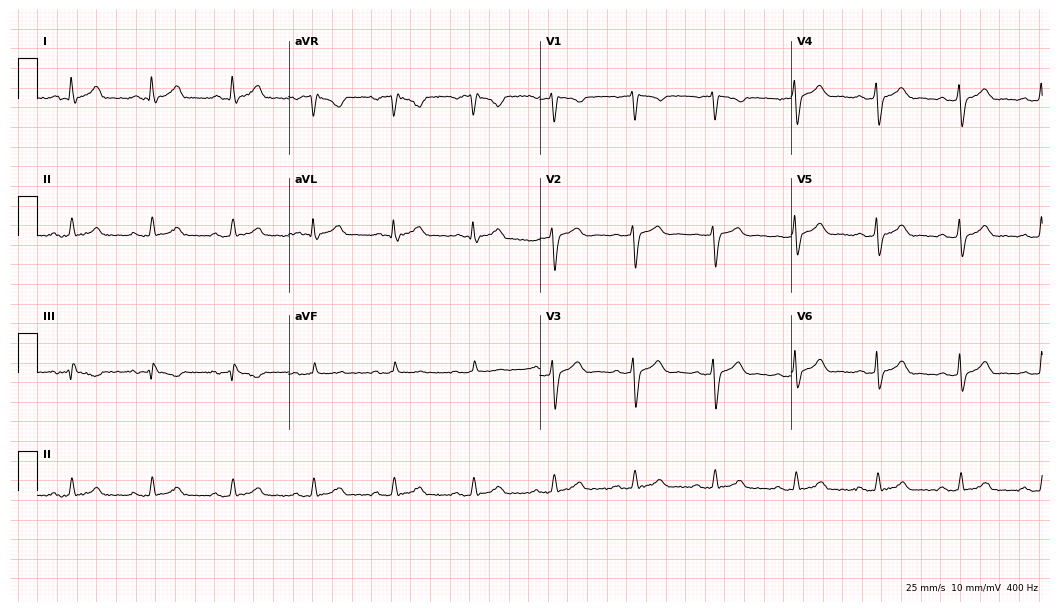
Electrocardiogram (10.2-second recording at 400 Hz), a 47-year-old man. Overall reading on record: normal ECG.